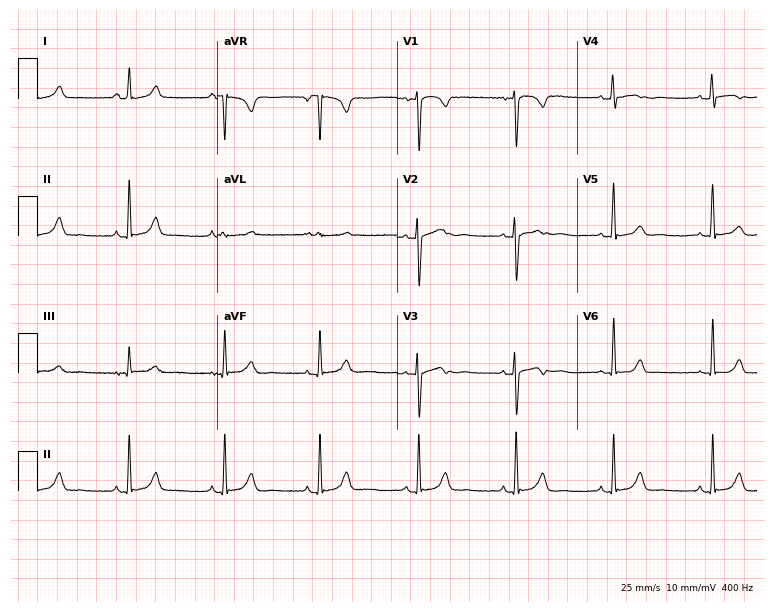
12-lead ECG from a 31-year-old female patient (7.3-second recording at 400 Hz). No first-degree AV block, right bundle branch block, left bundle branch block, sinus bradycardia, atrial fibrillation or sinus tachycardia recorded for this tracing.